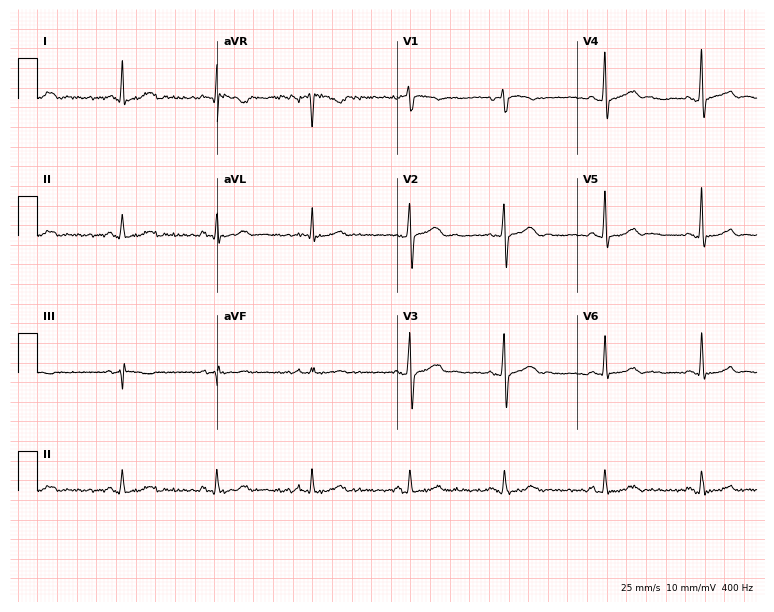
Resting 12-lead electrocardiogram (7.3-second recording at 400 Hz). Patient: a 35-year-old man. Read as a normal ECG.